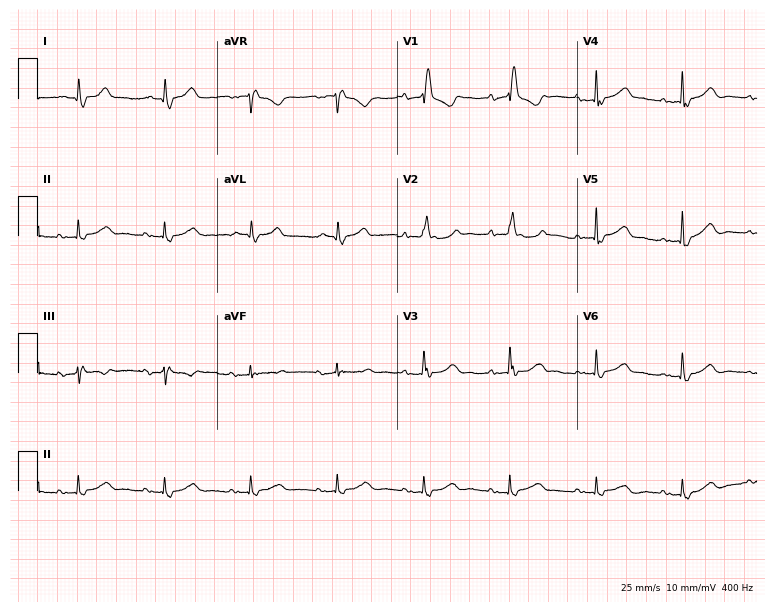
Resting 12-lead electrocardiogram (7.3-second recording at 400 Hz). Patient: a 63-year-old woman. None of these six findings is recorded: first-degree AV block, right bundle branch block, left bundle branch block, sinus bradycardia, atrial fibrillation, sinus tachycardia.